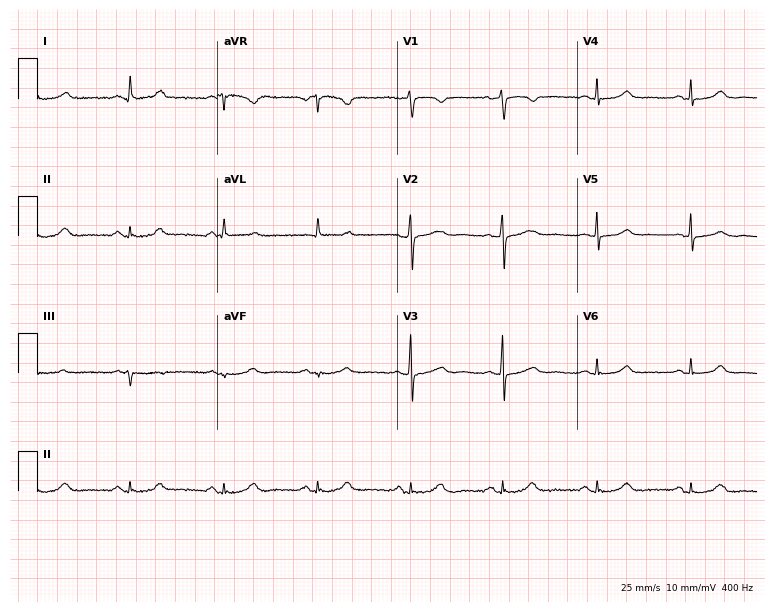
ECG (7.3-second recording at 400 Hz) — a woman, 59 years old. Labelled as a normal ECG.